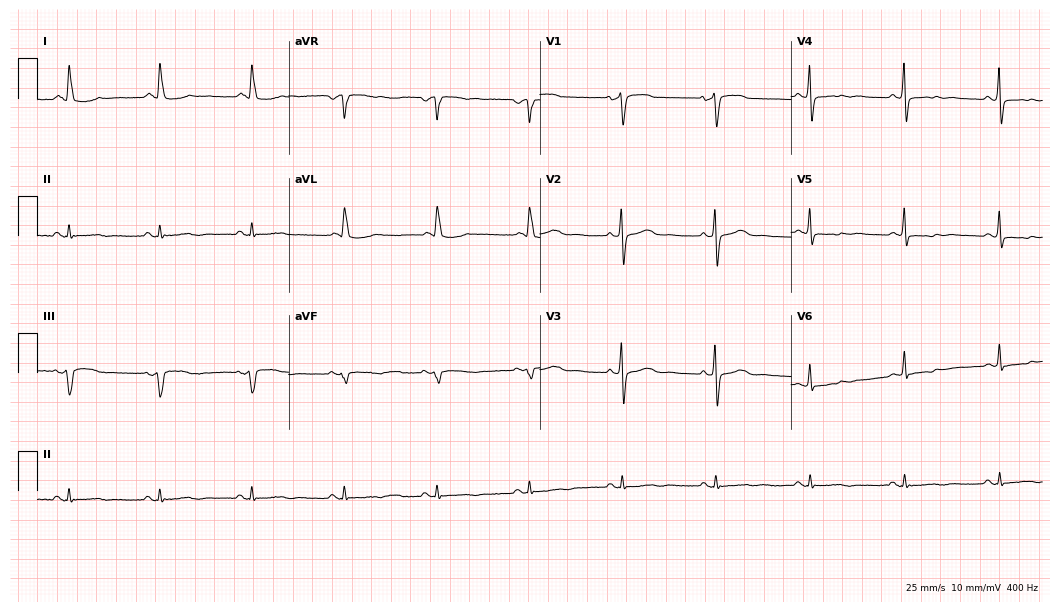
ECG — a woman, 70 years old. Screened for six findings — first-degree AV block, right bundle branch block (RBBB), left bundle branch block (LBBB), sinus bradycardia, atrial fibrillation (AF), sinus tachycardia — none is recorded. Only these six findings were labelled.